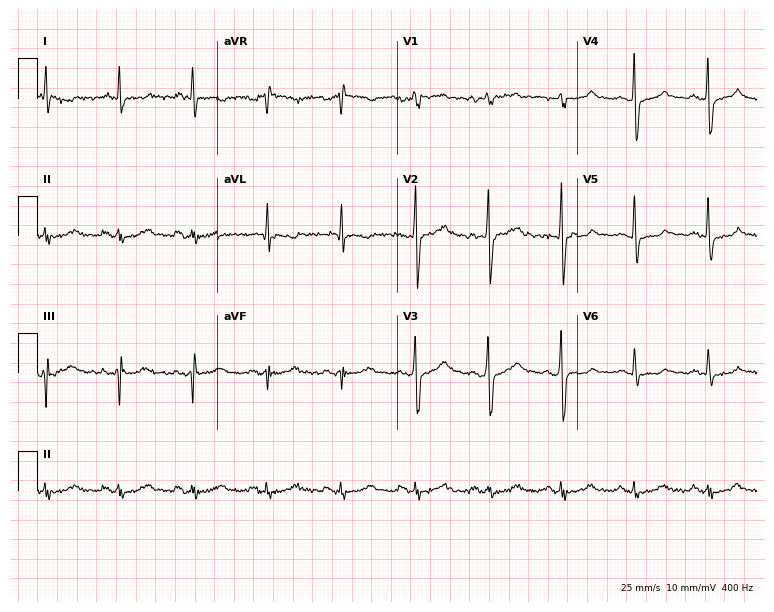
12-lead ECG from a man, 58 years old. Screened for six findings — first-degree AV block, right bundle branch block (RBBB), left bundle branch block (LBBB), sinus bradycardia, atrial fibrillation (AF), sinus tachycardia — none is recorded. Only these six findings were labelled.